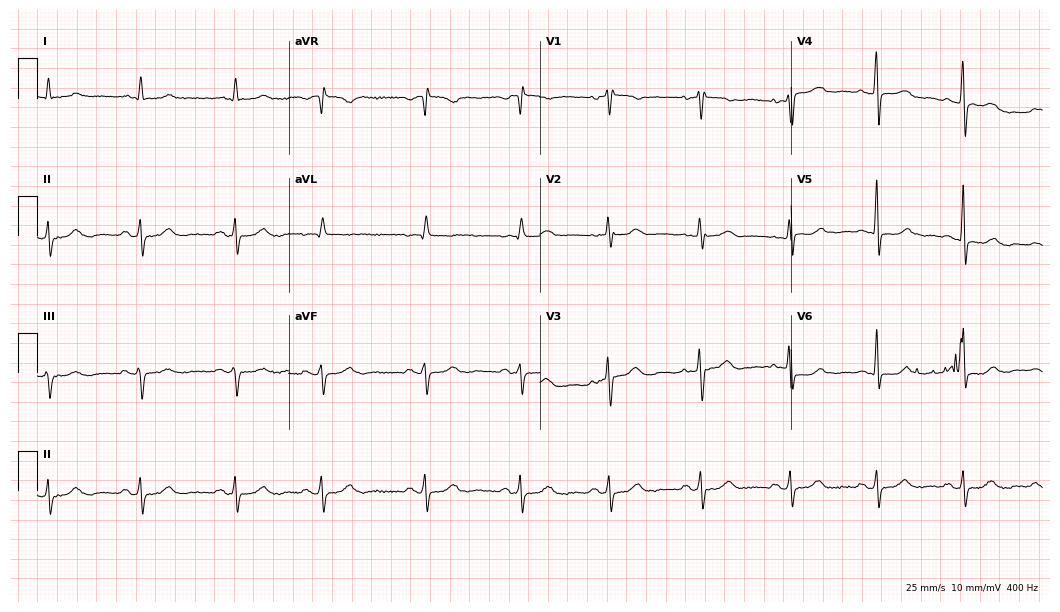
Electrocardiogram, a female, 78 years old. Of the six screened findings (first-degree AV block, right bundle branch block, left bundle branch block, sinus bradycardia, atrial fibrillation, sinus tachycardia), none is recorded. Only these six findings were labelled.